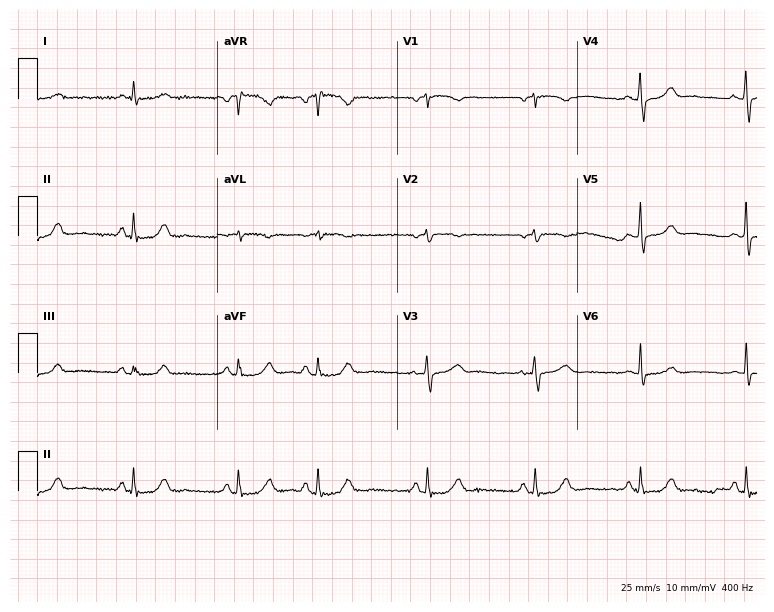
Standard 12-lead ECG recorded from a female patient, 75 years old. None of these six findings is recorded: first-degree AV block, right bundle branch block, left bundle branch block, sinus bradycardia, atrial fibrillation, sinus tachycardia. Findings outside these six are not listed.